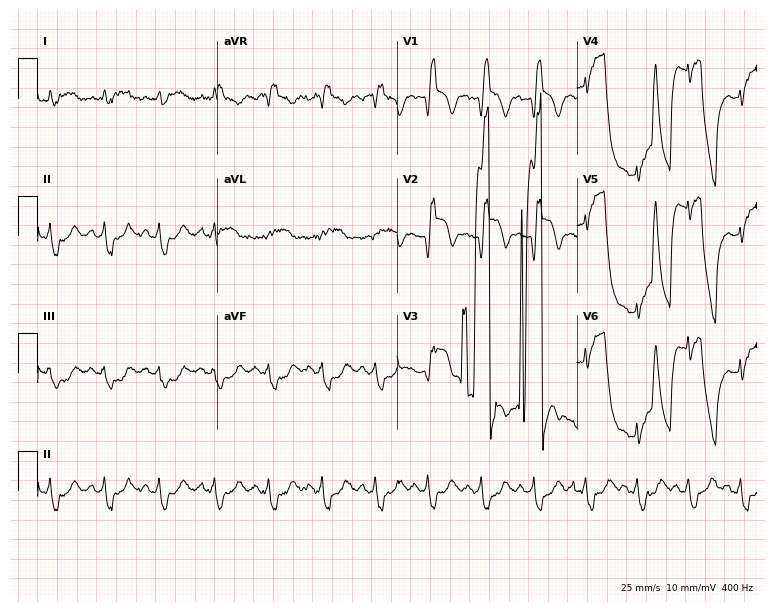
Resting 12-lead electrocardiogram (7.3-second recording at 400 Hz). Patient: a male, 46 years old. None of these six findings is recorded: first-degree AV block, right bundle branch block, left bundle branch block, sinus bradycardia, atrial fibrillation, sinus tachycardia.